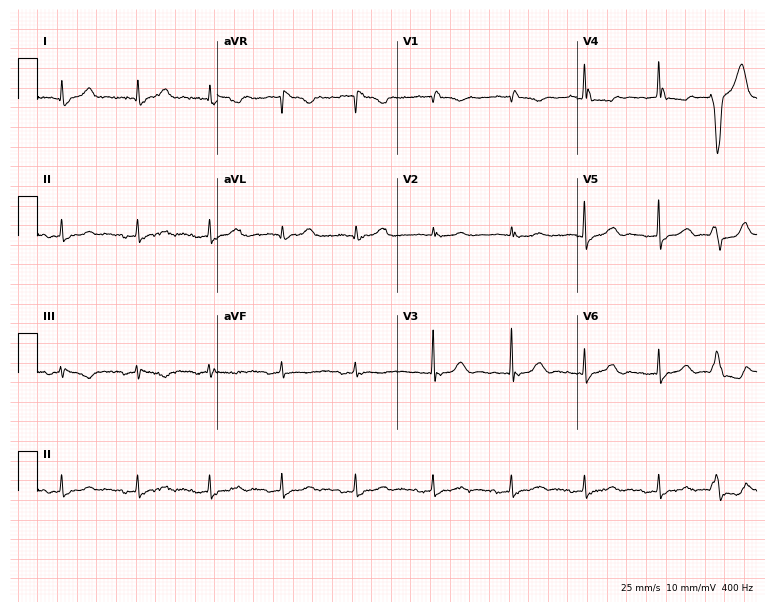
Electrocardiogram, a female patient, 84 years old. Of the six screened findings (first-degree AV block, right bundle branch block (RBBB), left bundle branch block (LBBB), sinus bradycardia, atrial fibrillation (AF), sinus tachycardia), none is recorded.